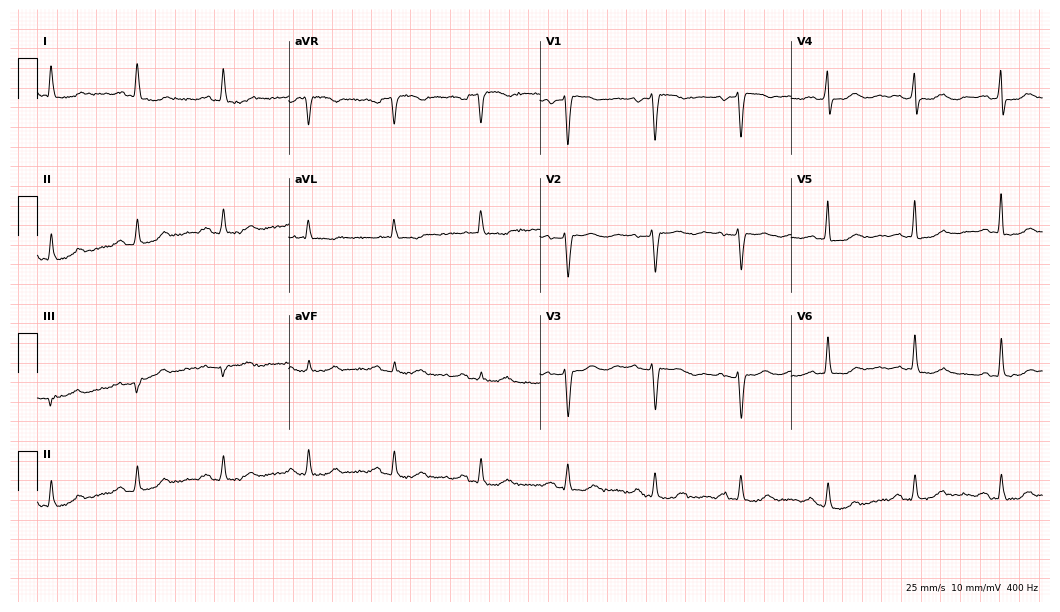
Electrocardiogram, an 80-year-old woman. Overall reading on record: normal ECG.